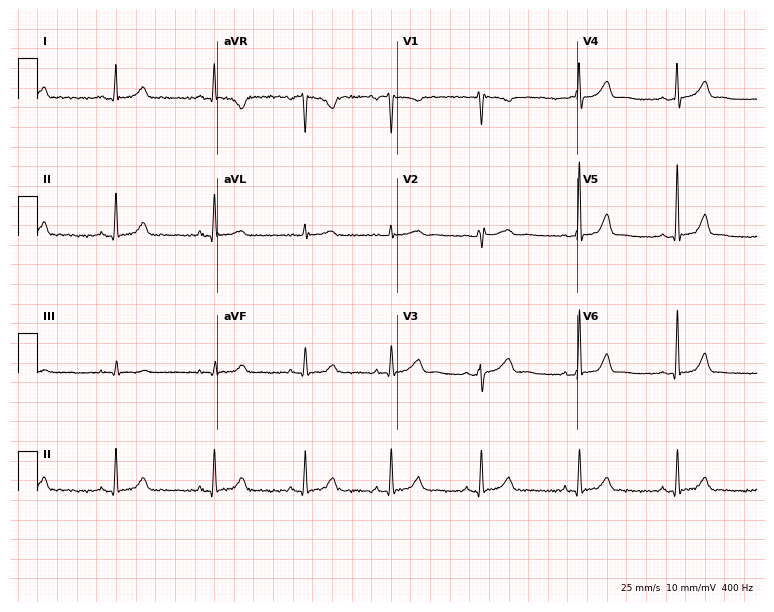
ECG (7.3-second recording at 400 Hz) — a 31-year-old female patient. Screened for six findings — first-degree AV block, right bundle branch block (RBBB), left bundle branch block (LBBB), sinus bradycardia, atrial fibrillation (AF), sinus tachycardia — none is recorded. Only these six findings were labelled.